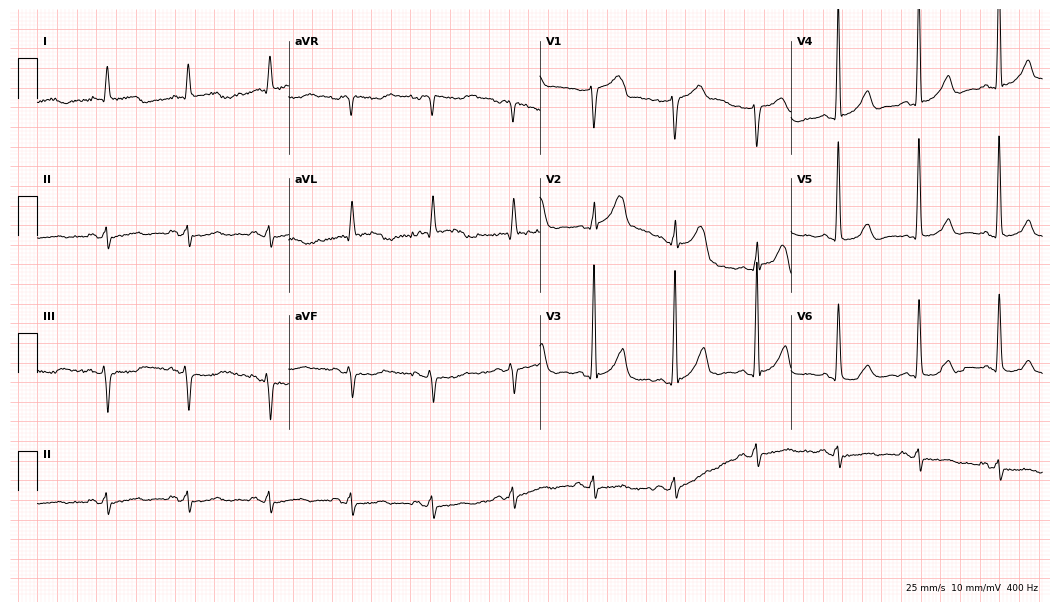
12-lead ECG from a man, 83 years old (10.2-second recording at 400 Hz). No first-degree AV block, right bundle branch block, left bundle branch block, sinus bradycardia, atrial fibrillation or sinus tachycardia recorded for this tracing.